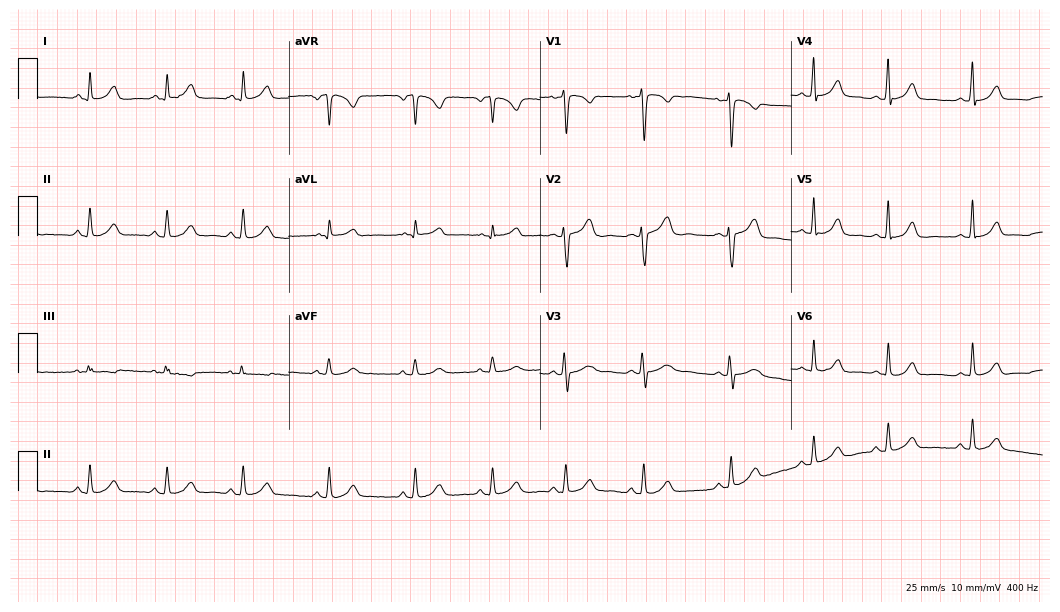
Resting 12-lead electrocardiogram. Patient: a female, 19 years old. Read as a normal ECG.